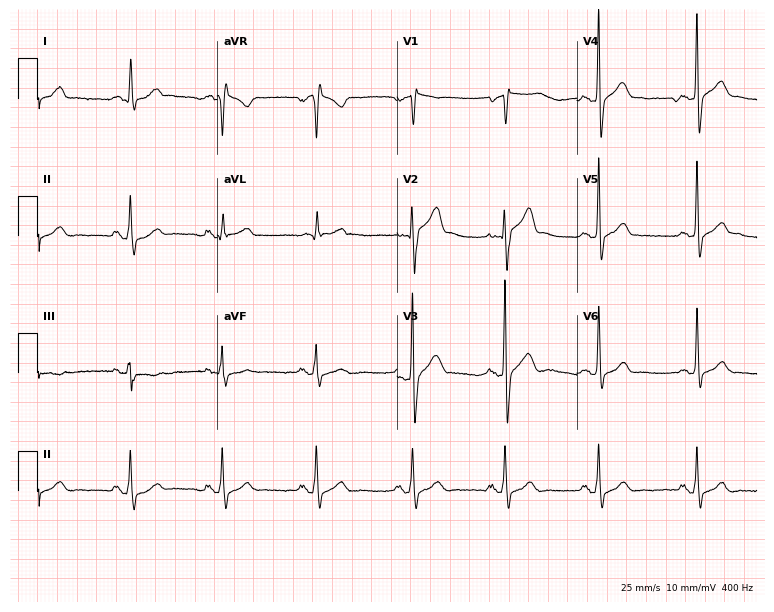
12-lead ECG (7.3-second recording at 400 Hz) from a man, 38 years old. Screened for six findings — first-degree AV block, right bundle branch block (RBBB), left bundle branch block (LBBB), sinus bradycardia, atrial fibrillation (AF), sinus tachycardia — none is recorded.